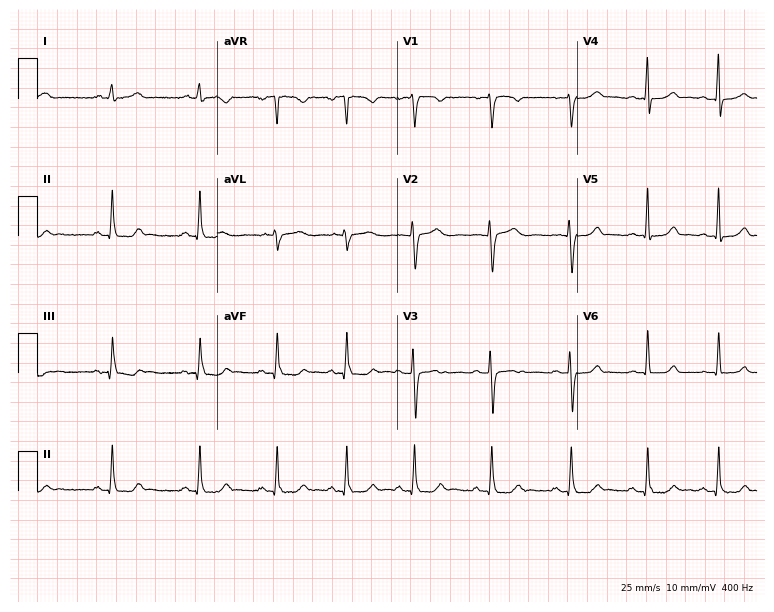
Standard 12-lead ECG recorded from a 19-year-old woman. Read as a normal ECG.